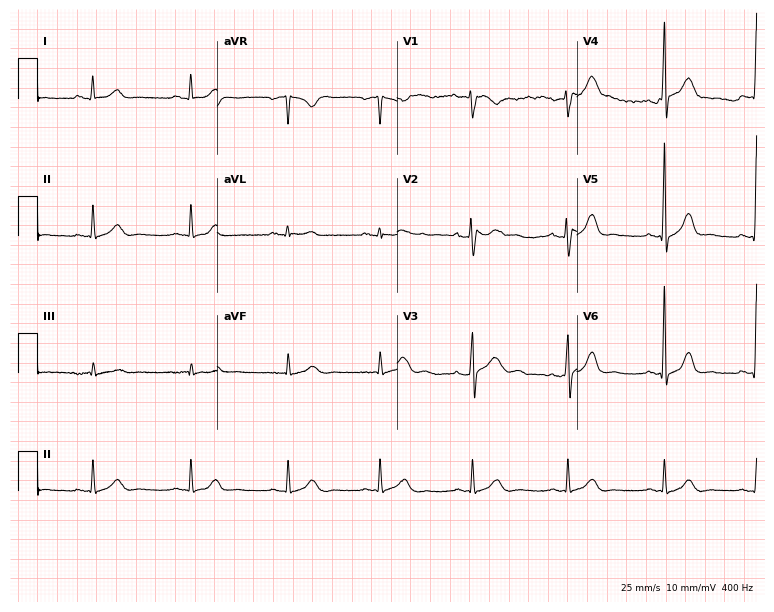
Standard 12-lead ECG recorded from a man, 46 years old. Read as a normal ECG.